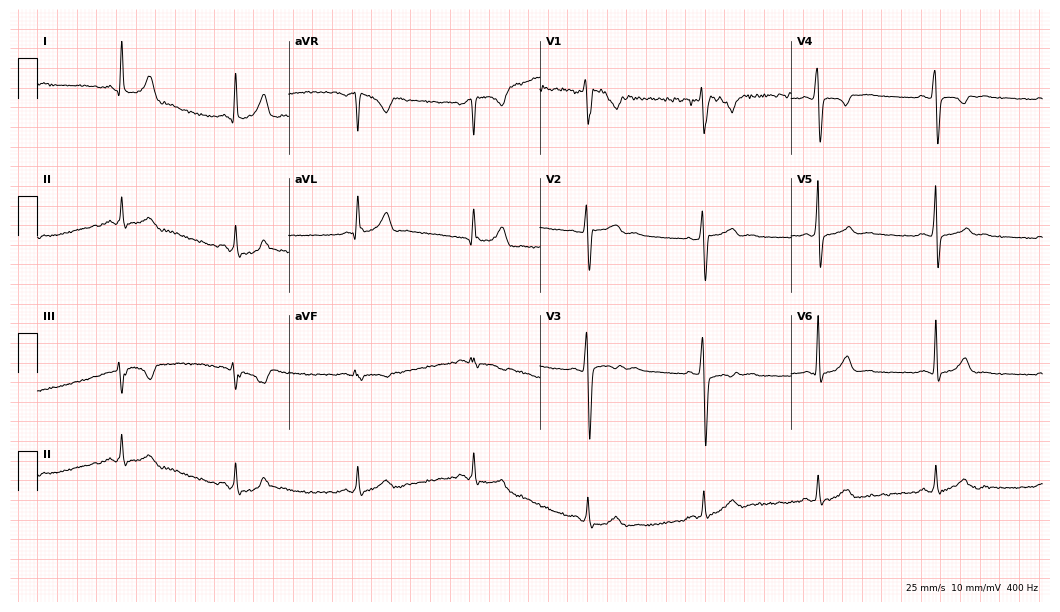
ECG (10.2-second recording at 400 Hz) — a male, 30 years old. Screened for six findings — first-degree AV block, right bundle branch block, left bundle branch block, sinus bradycardia, atrial fibrillation, sinus tachycardia — none is recorded. Other findings, if any, are not listed.